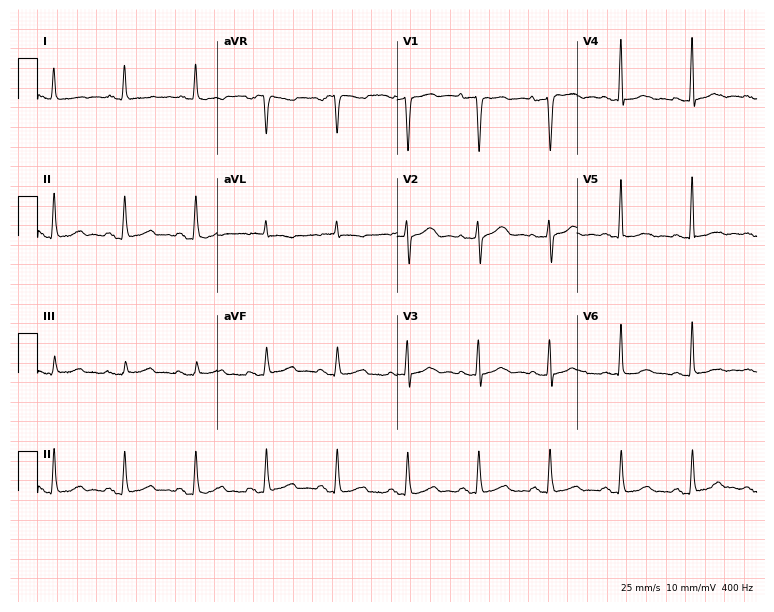
12-lead ECG from a 75-year-old female. Screened for six findings — first-degree AV block, right bundle branch block, left bundle branch block, sinus bradycardia, atrial fibrillation, sinus tachycardia — none is recorded. Findings outside these six are not listed.